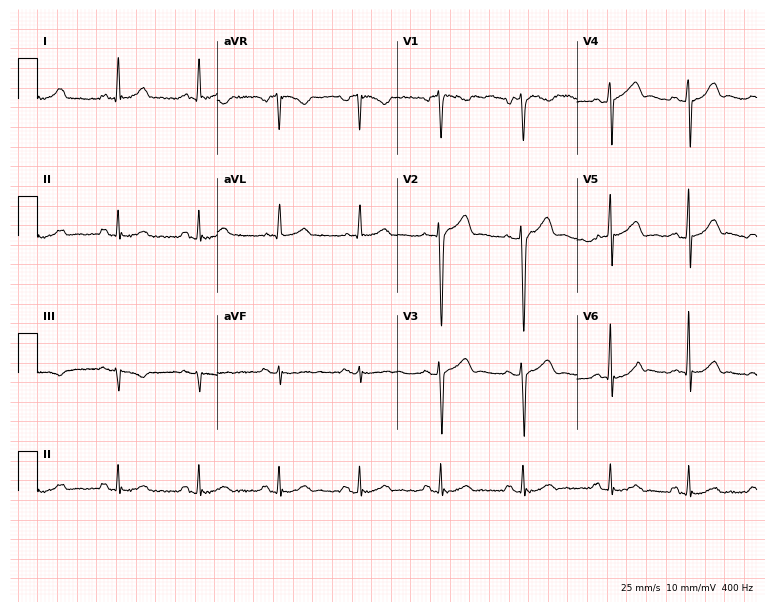
ECG — a 35-year-old man. Screened for six findings — first-degree AV block, right bundle branch block, left bundle branch block, sinus bradycardia, atrial fibrillation, sinus tachycardia — none is recorded.